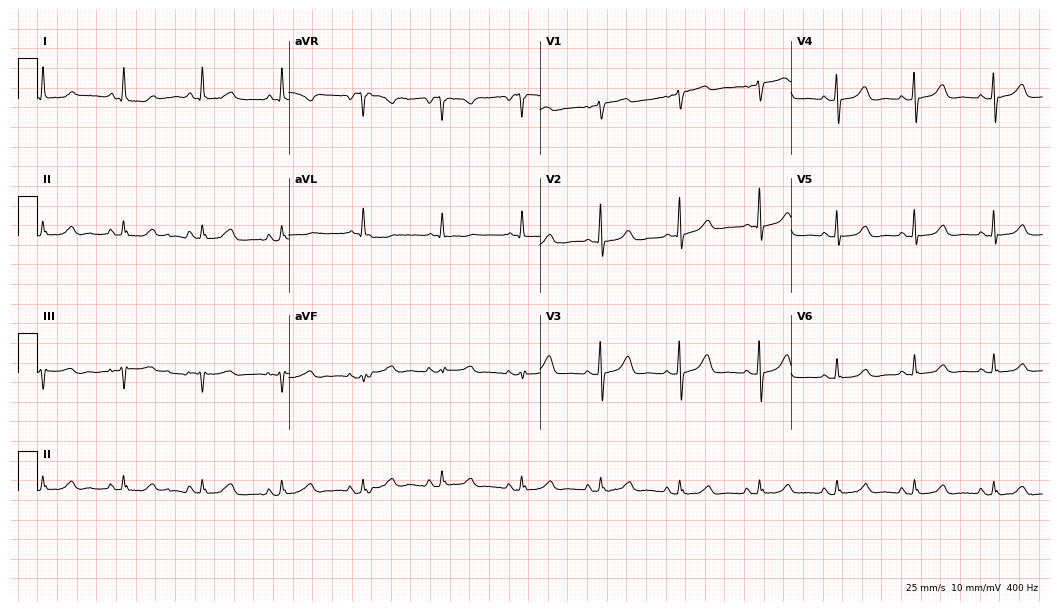
12-lead ECG from a 63-year-old female. Labelled as a normal ECG.